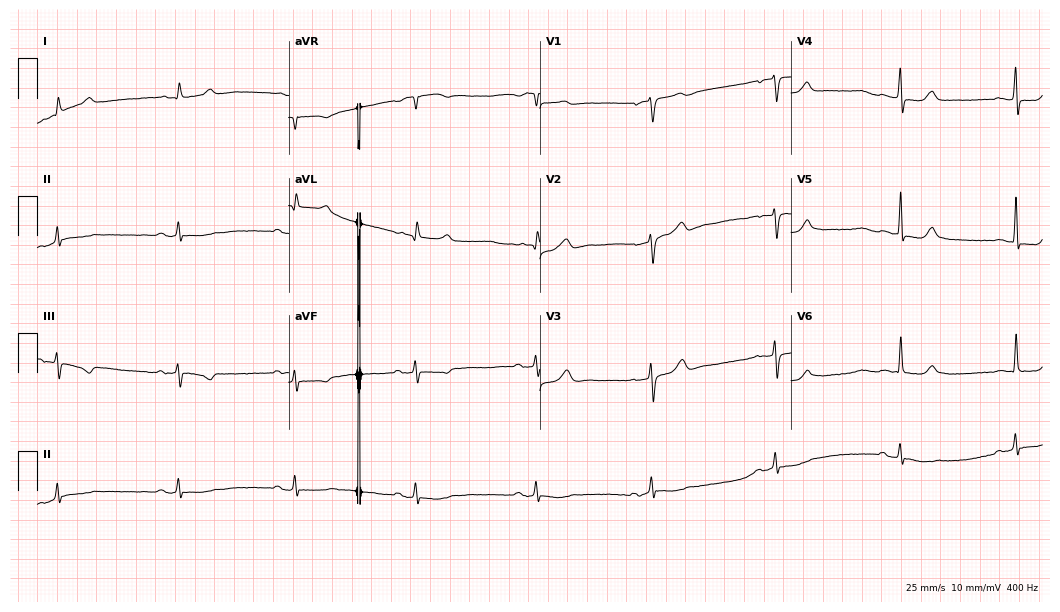
12-lead ECG from a 54-year-old man. No first-degree AV block, right bundle branch block, left bundle branch block, sinus bradycardia, atrial fibrillation or sinus tachycardia recorded for this tracing. Only these six findings were labelled.